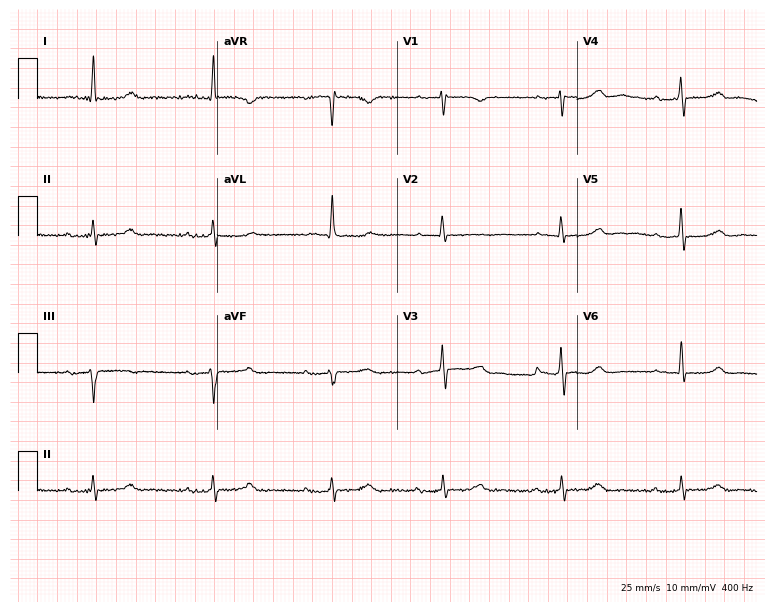
Electrocardiogram (7.3-second recording at 400 Hz), a 76-year-old woman. Interpretation includes first-degree AV block.